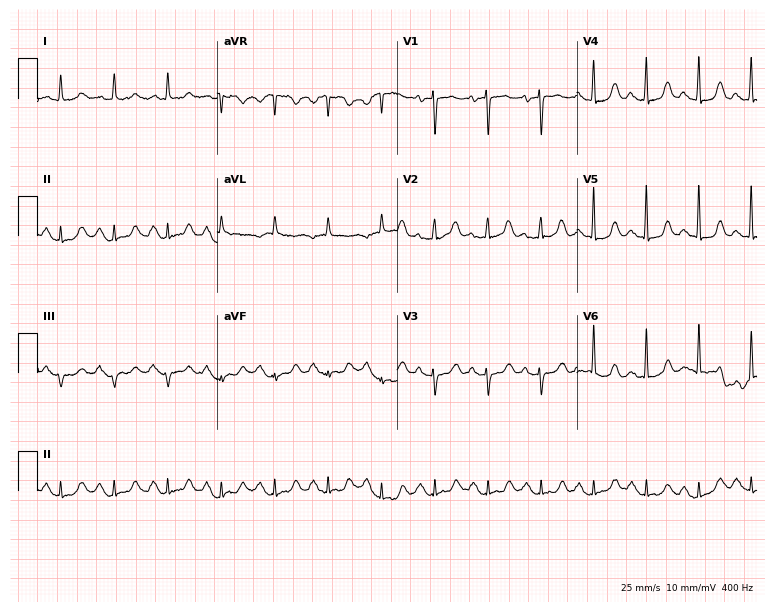
Electrocardiogram (7.3-second recording at 400 Hz), a 76-year-old female patient. Interpretation includes sinus tachycardia (a sinus rate of 100 beats per minute or more).